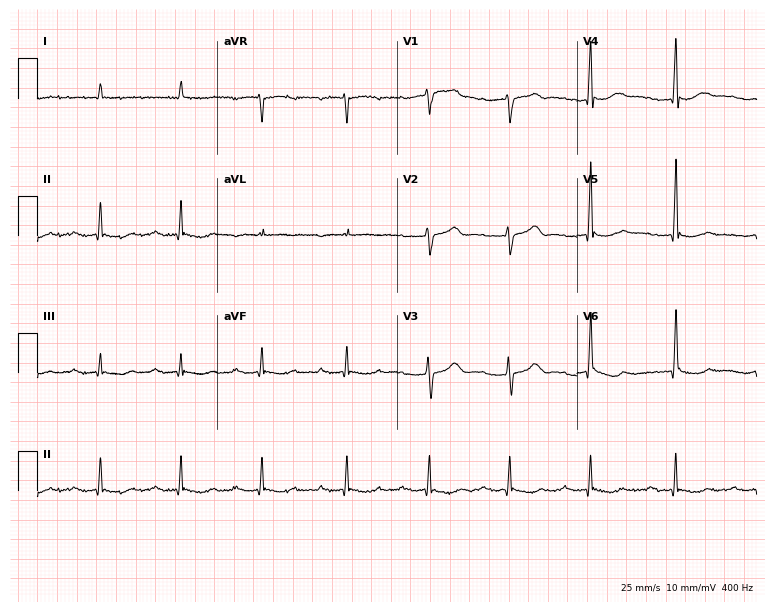
Standard 12-lead ECG recorded from an 84-year-old male. The tracing shows first-degree AV block.